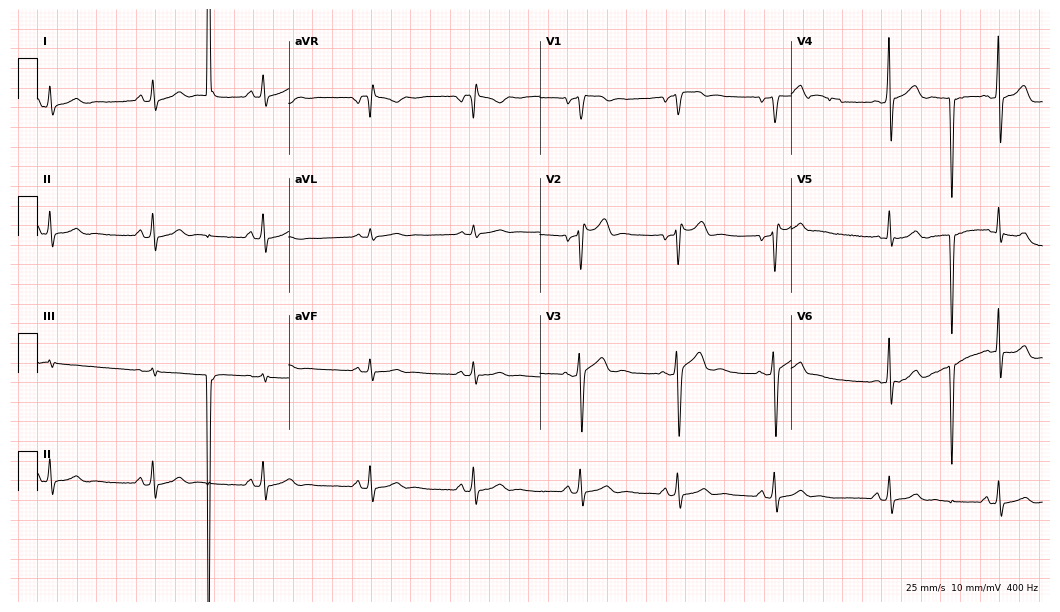
12-lead ECG (10.2-second recording at 400 Hz) from an 18-year-old male. Screened for six findings — first-degree AV block, right bundle branch block, left bundle branch block, sinus bradycardia, atrial fibrillation, sinus tachycardia — none is recorded. Only these six findings were labelled.